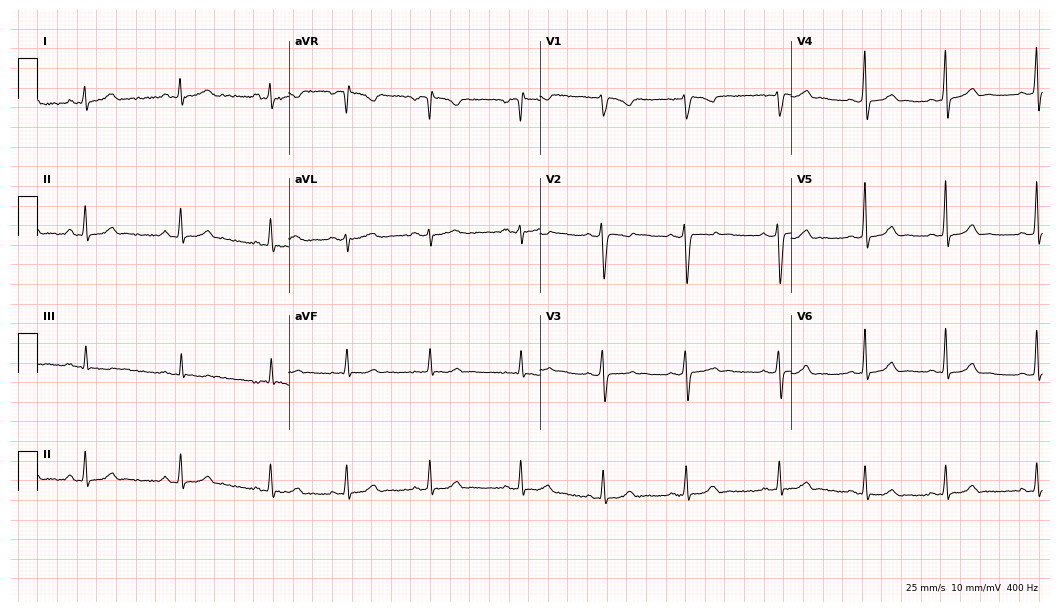
Standard 12-lead ECG recorded from a female patient, 28 years old (10.2-second recording at 400 Hz). None of these six findings is recorded: first-degree AV block, right bundle branch block (RBBB), left bundle branch block (LBBB), sinus bradycardia, atrial fibrillation (AF), sinus tachycardia. Only these six findings were labelled.